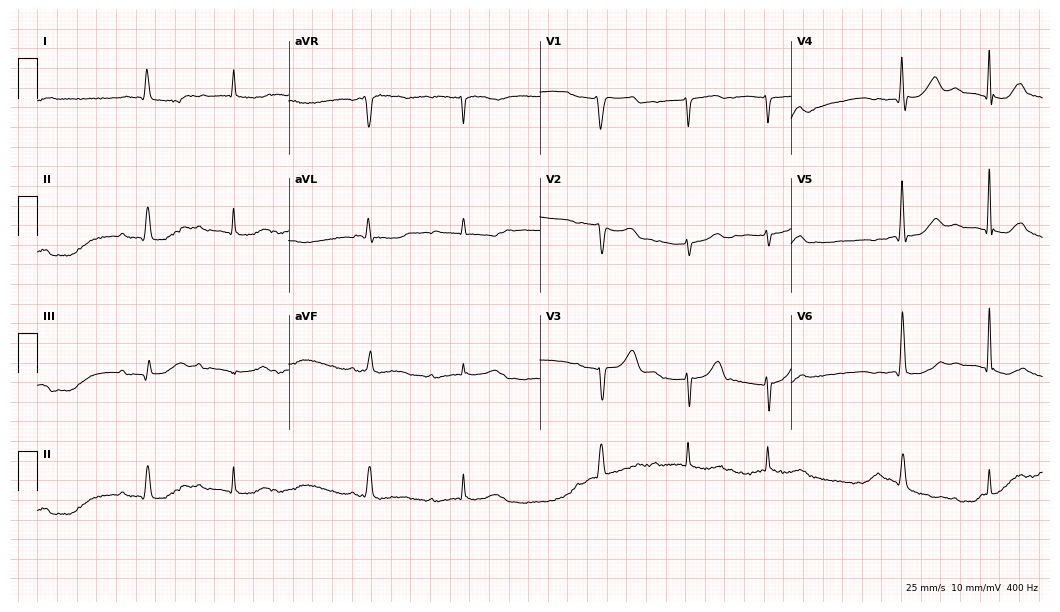
ECG — an 82-year-old man. Screened for six findings — first-degree AV block, right bundle branch block, left bundle branch block, sinus bradycardia, atrial fibrillation, sinus tachycardia — none is recorded. Other findings, if any, are not listed.